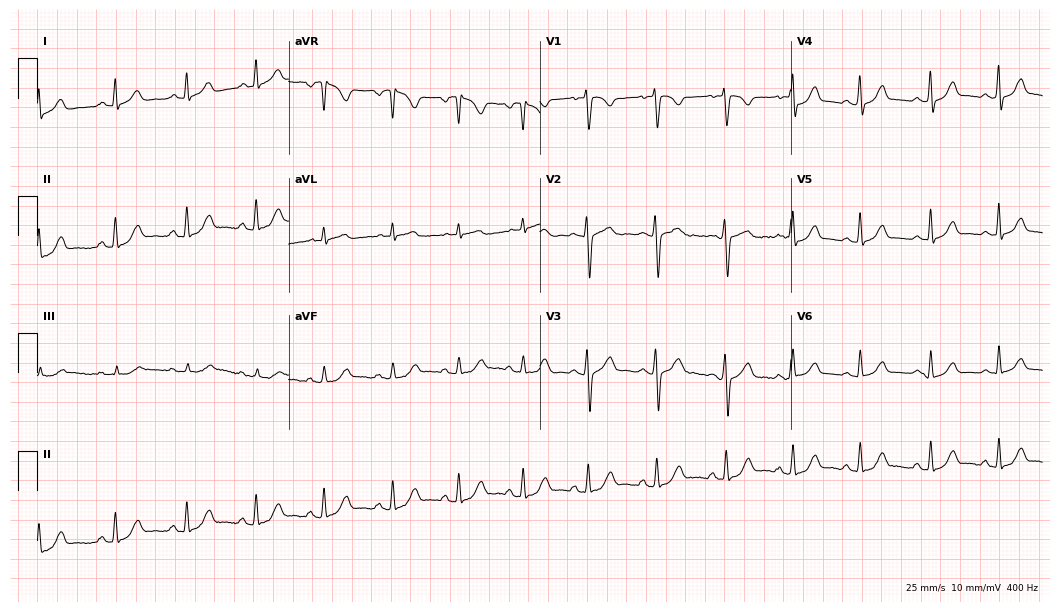
Electrocardiogram, a female, 21 years old. Overall reading on record: normal ECG.